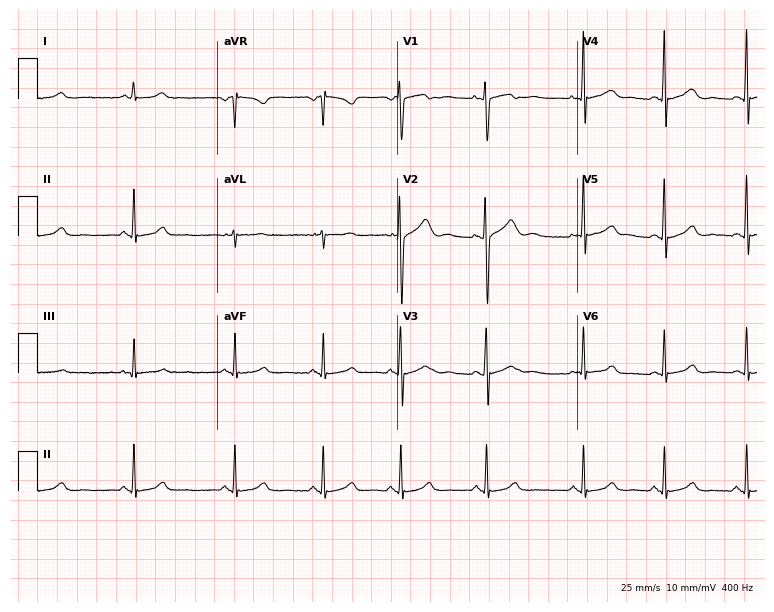
Resting 12-lead electrocardiogram. Patient: a 25-year-old female. Read as a normal ECG.